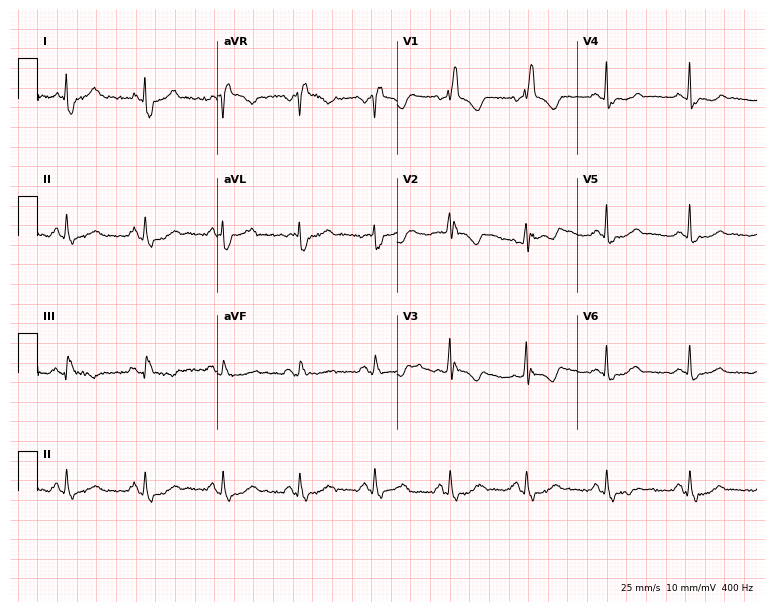
Resting 12-lead electrocardiogram. Patient: an 80-year-old female. The tracing shows right bundle branch block (RBBB).